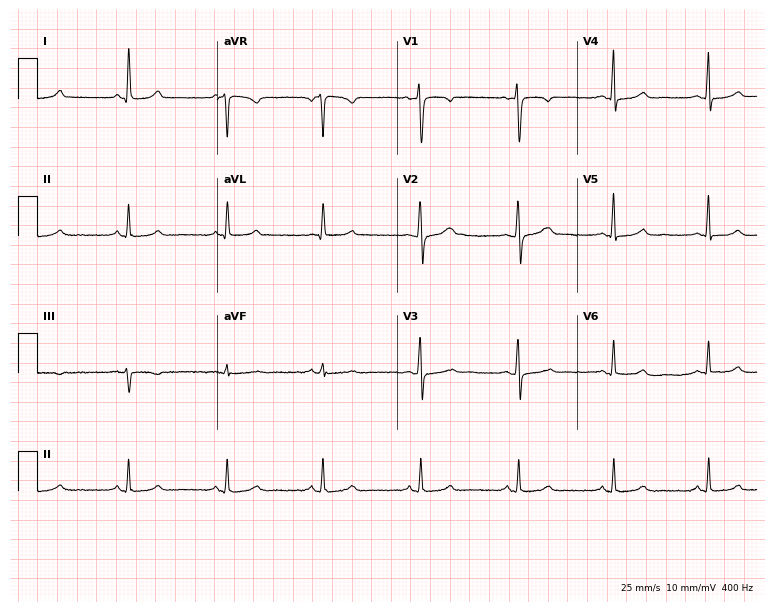
12-lead ECG from a 51-year-old woman. Recorded interpretation: within normal limits.